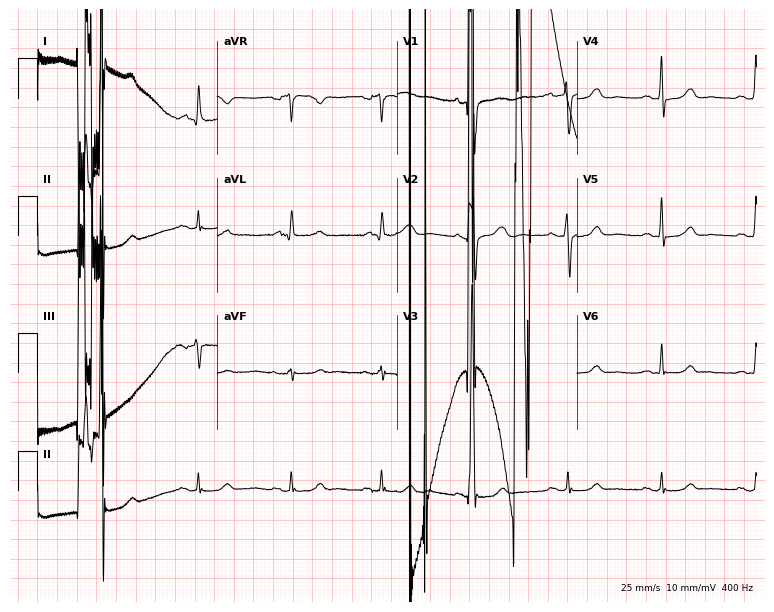
12-lead ECG (7.3-second recording at 400 Hz) from a female, 63 years old. Screened for six findings — first-degree AV block, right bundle branch block, left bundle branch block, sinus bradycardia, atrial fibrillation, sinus tachycardia — none is recorded. Other findings, if any, are not listed.